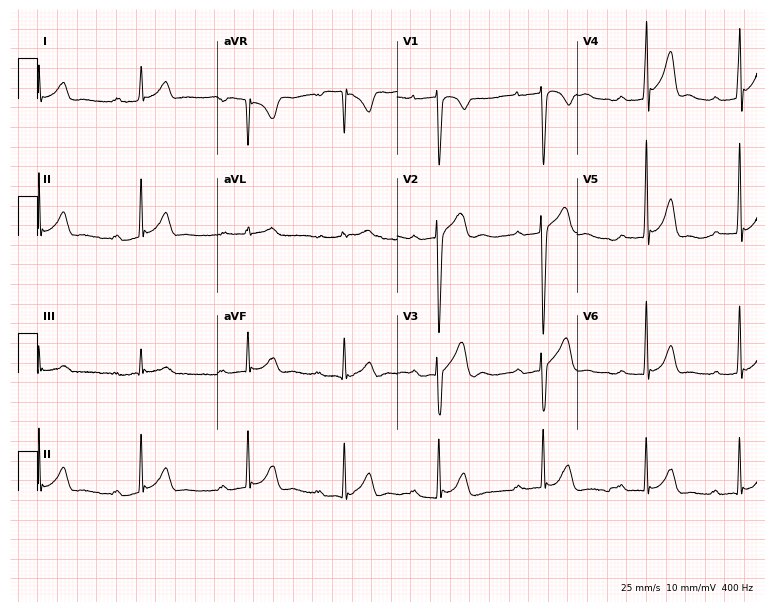
Electrocardiogram (7.3-second recording at 400 Hz), a male patient, 23 years old. Interpretation includes first-degree AV block.